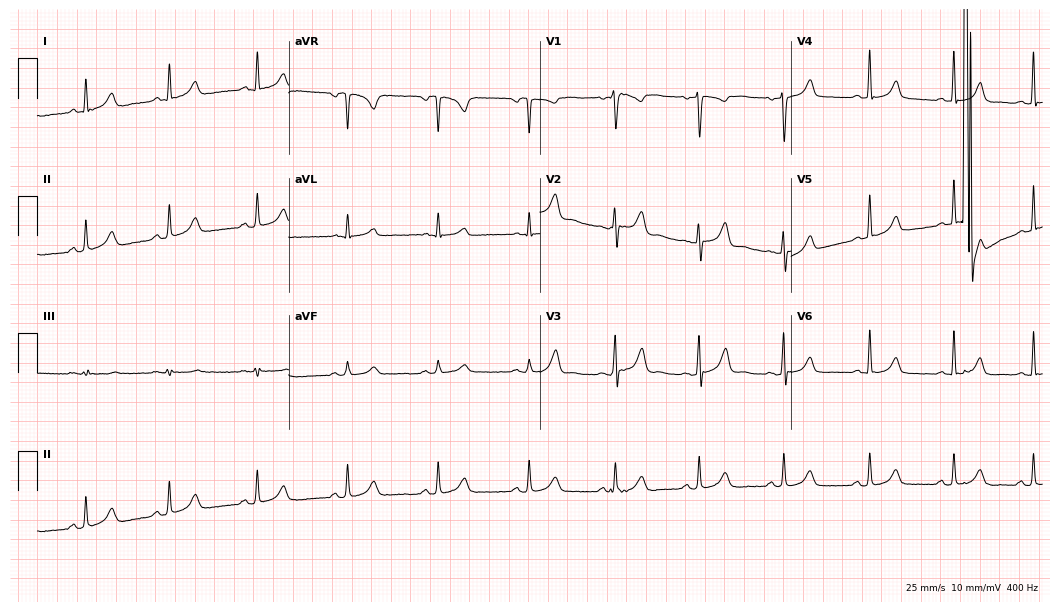
Standard 12-lead ECG recorded from a 34-year-old female (10.2-second recording at 400 Hz). Read as a normal ECG.